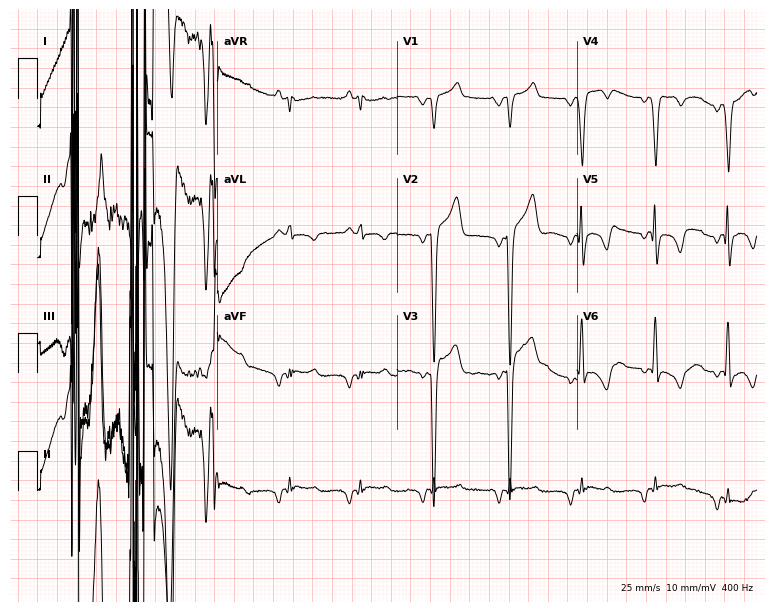
12-lead ECG (7.3-second recording at 400 Hz) from a 77-year-old male patient. Screened for six findings — first-degree AV block, right bundle branch block, left bundle branch block, sinus bradycardia, atrial fibrillation, sinus tachycardia — none is recorded. Findings outside these six are not listed.